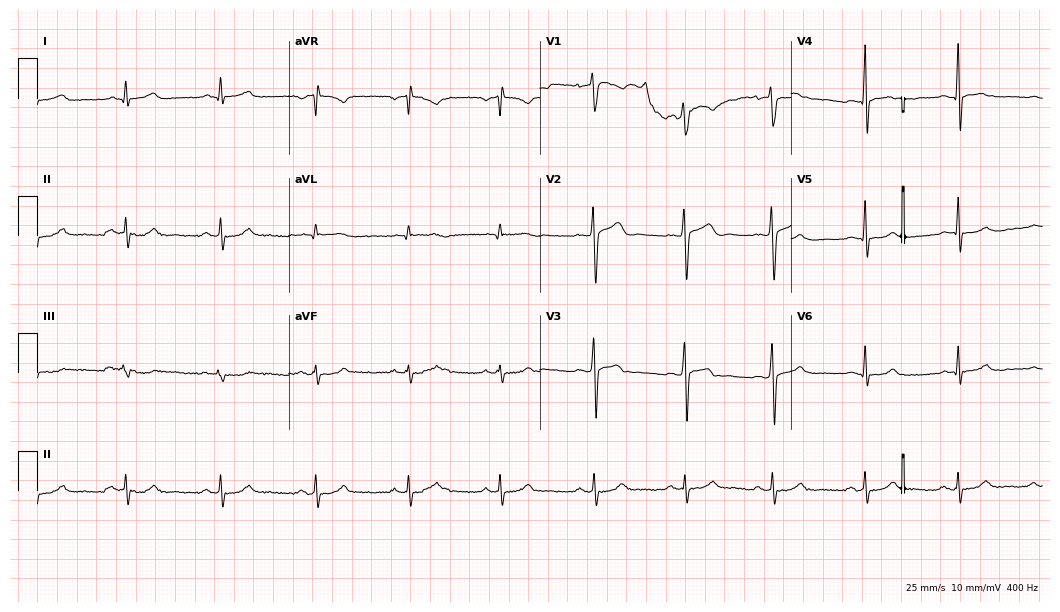
Resting 12-lead electrocardiogram. Patient: a 23-year-old male. None of these six findings is recorded: first-degree AV block, right bundle branch block, left bundle branch block, sinus bradycardia, atrial fibrillation, sinus tachycardia. Other findings, if any, are not listed.